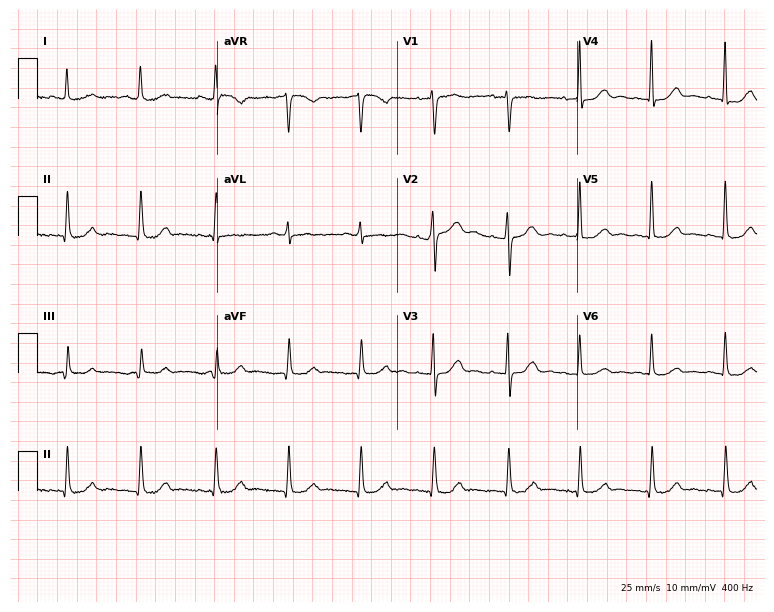
Resting 12-lead electrocardiogram (7.3-second recording at 400 Hz). Patient: a 66-year-old female. Read as a normal ECG.